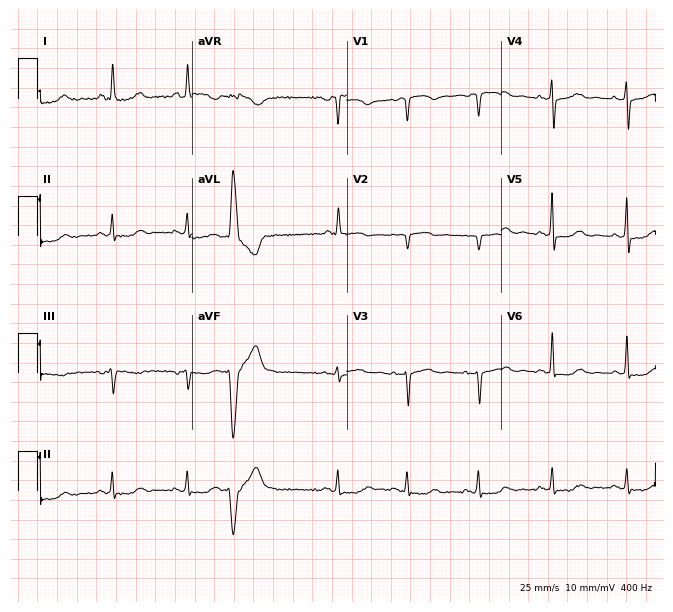
Standard 12-lead ECG recorded from a 65-year-old female patient (6.3-second recording at 400 Hz). None of these six findings is recorded: first-degree AV block, right bundle branch block (RBBB), left bundle branch block (LBBB), sinus bradycardia, atrial fibrillation (AF), sinus tachycardia. Findings outside these six are not listed.